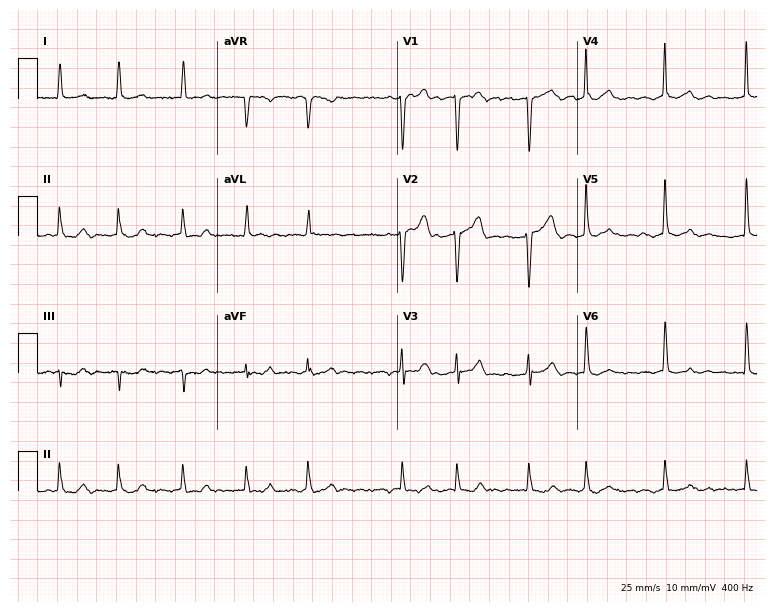
ECG — an 82-year-old male. Findings include atrial fibrillation.